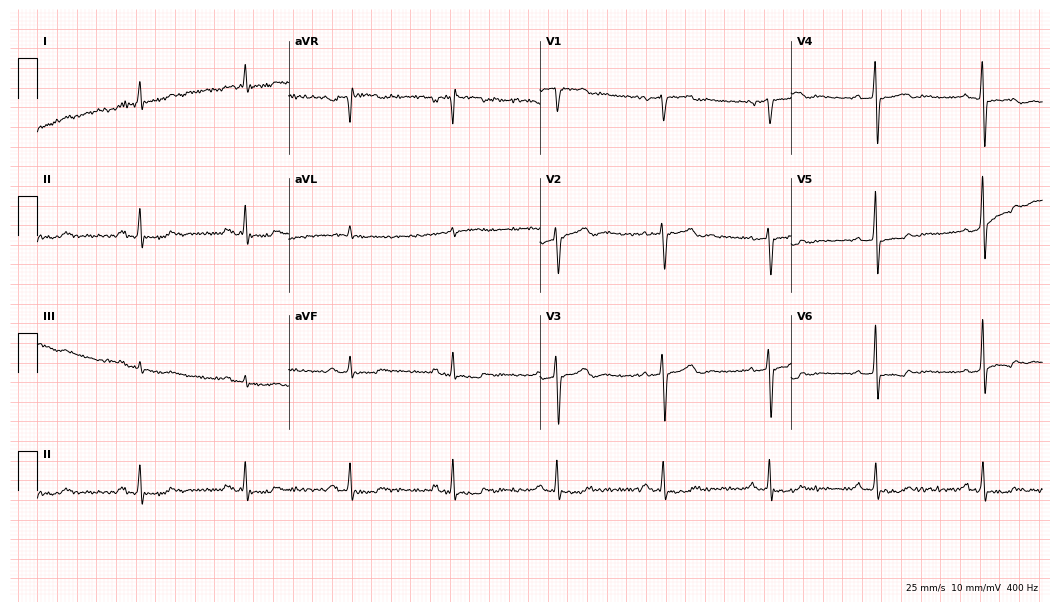
12-lead ECG from a male, 72 years old. Screened for six findings — first-degree AV block, right bundle branch block, left bundle branch block, sinus bradycardia, atrial fibrillation, sinus tachycardia — none is recorded. Only these six findings were labelled.